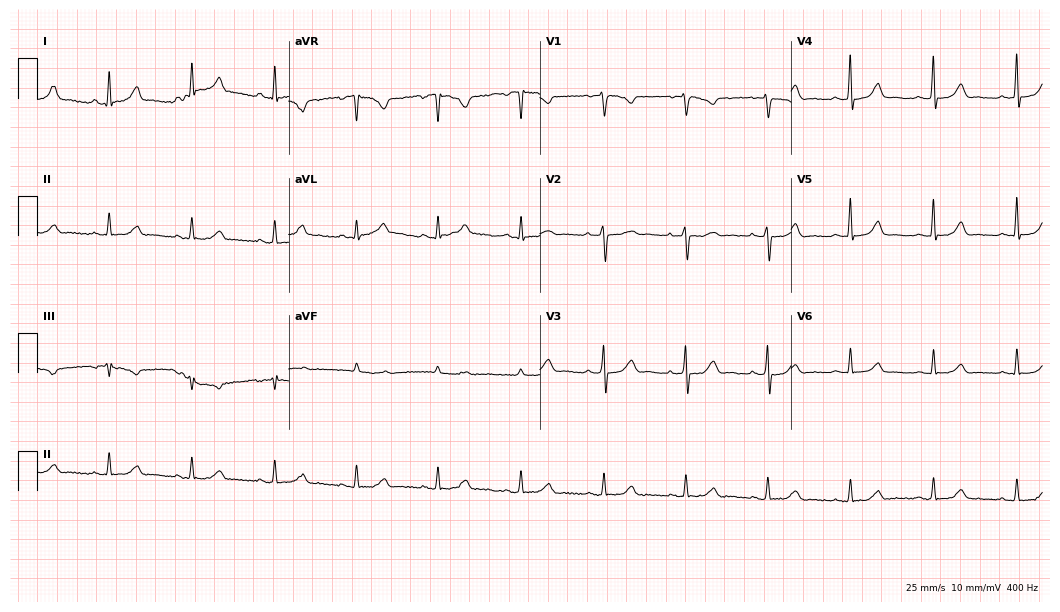
12-lead ECG from a female, 50 years old. No first-degree AV block, right bundle branch block, left bundle branch block, sinus bradycardia, atrial fibrillation or sinus tachycardia recorded for this tracing.